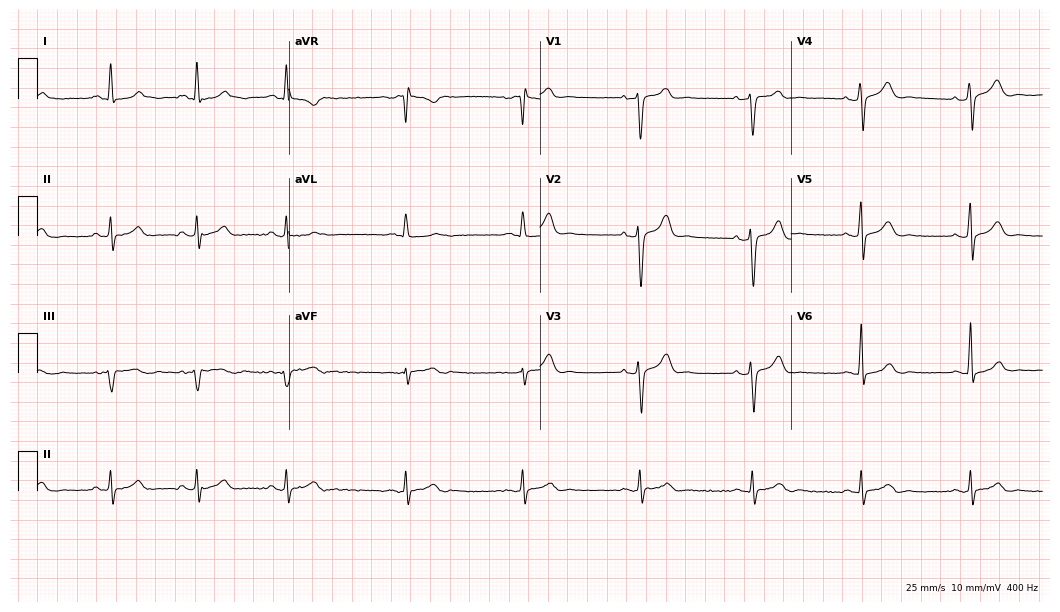
Resting 12-lead electrocardiogram. Patient: a 27-year-old woman. Read as a normal ECG.